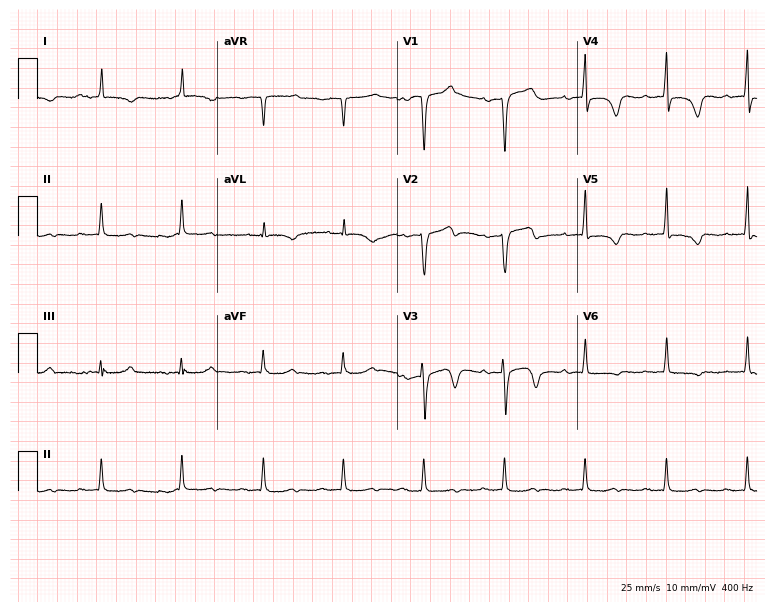
ECG (7.3-second recording at 400 Hz) — a 78-year-old male. Screened for six findings — first-degree AV block, right bundle branch block, left bundle branch block, sinus bradycardia, atrial fibrillation, sinus tachycardia — none is recorded. Findings outside these six are not listed.